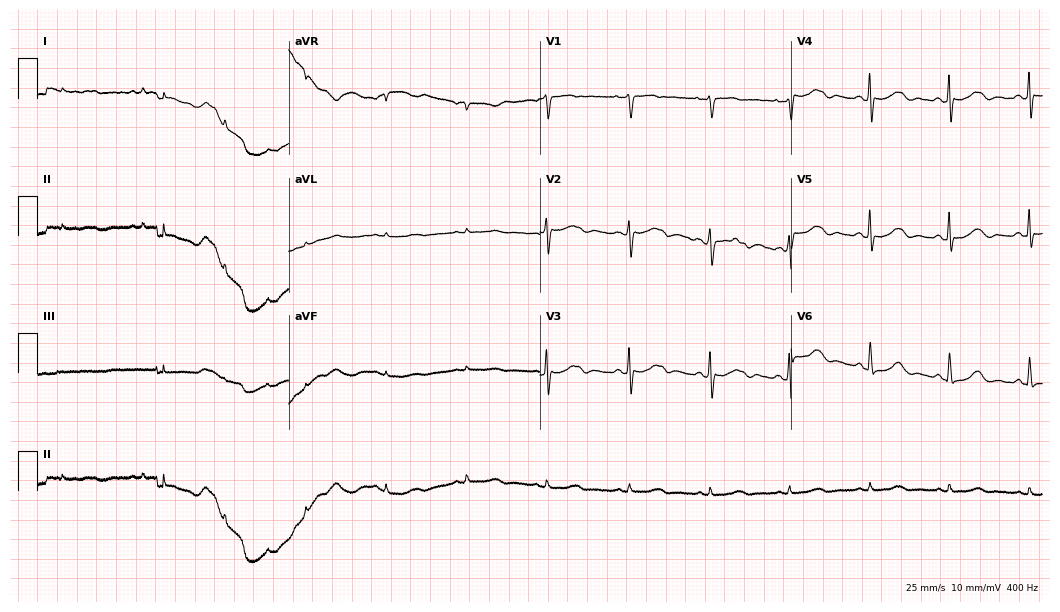
12-lead ECG from an 82-year-old woman. Screened for six findings — first-degree AV block, right bundle branch block, left bundle branch block, sinus bradycardia, atrial fibrillation, sinus tachycardia — none is recorded. Only these six findings were labelled.